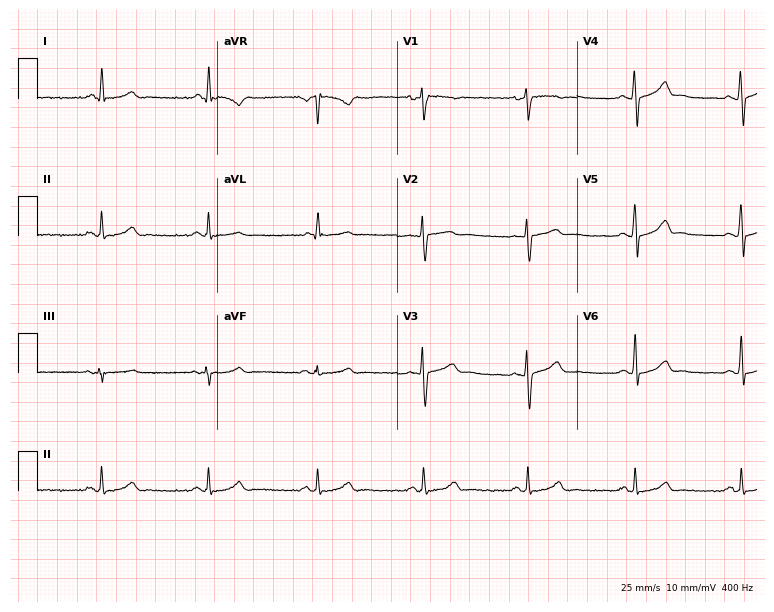
Standard 12-lead ECG recorded from a 38-year-old male patient (7.3-second recording at 400 Hz). Read as a normal ECG.